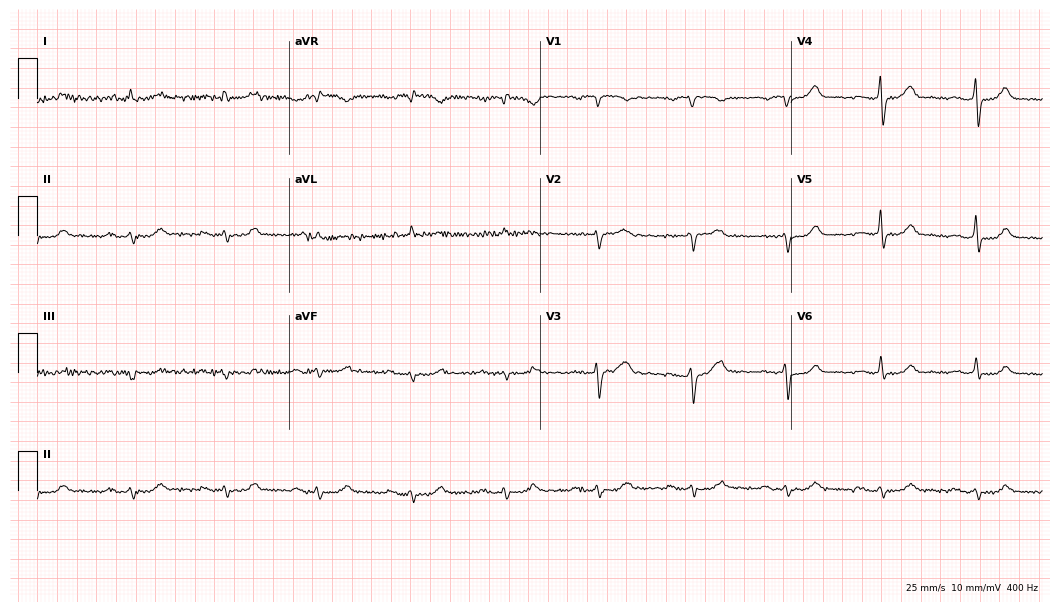
12-lead ECG (10.2-second recording at 400 Hz) from a male, 69 years old. Findings include first-degree AV block.